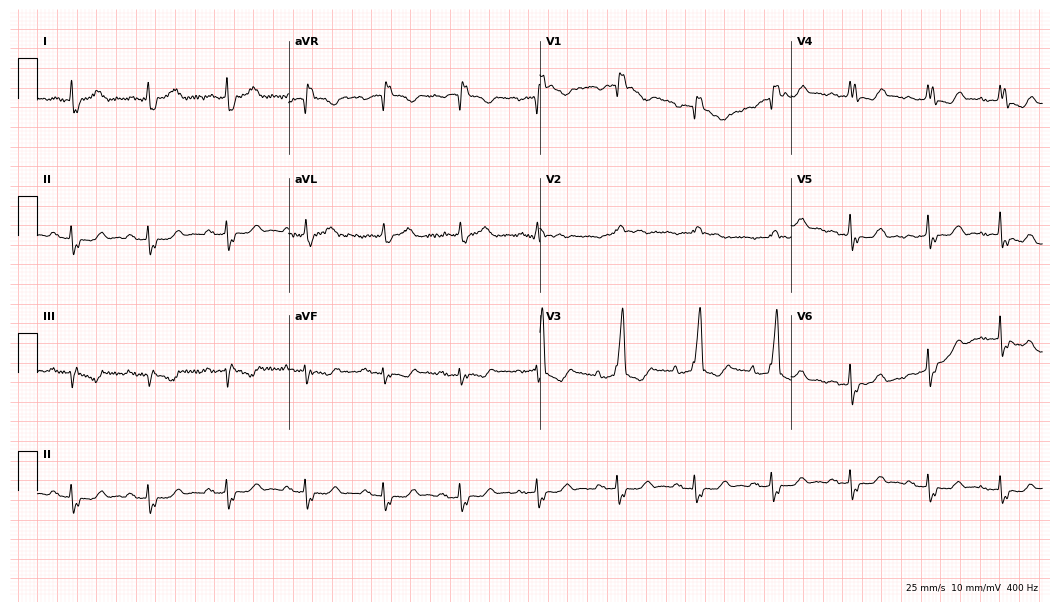
Standard 12-lead ECG recorded from an 81-year-old woman. The tracing shows right bundle branch block (RBBB).